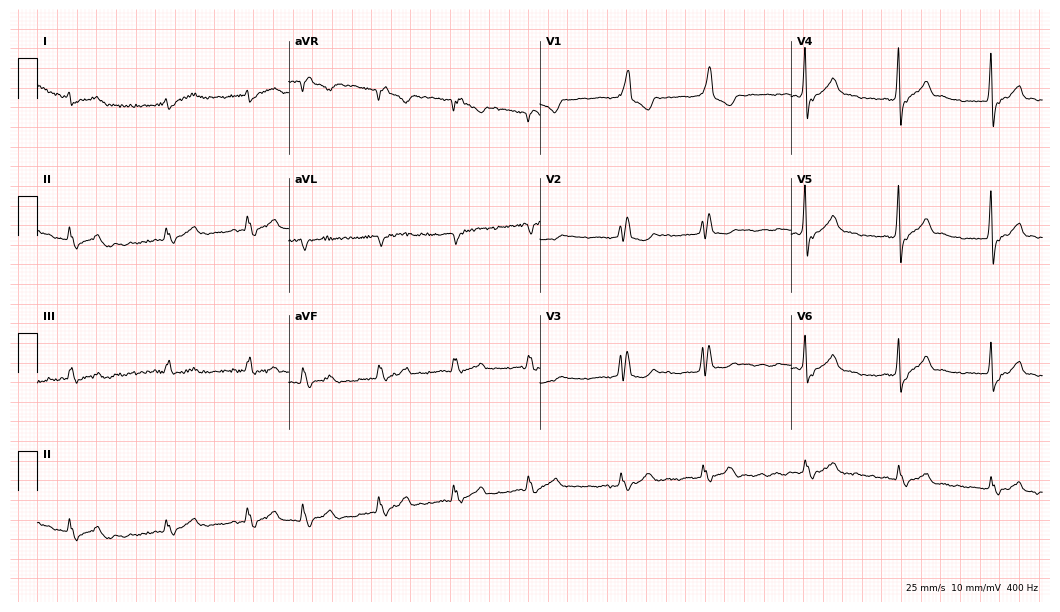
Electrocardiogram (10.2-second recording at 400 Hz), a male patient, 83 years old. Interpretation includes right bundle branch block, atrial fibrillation.